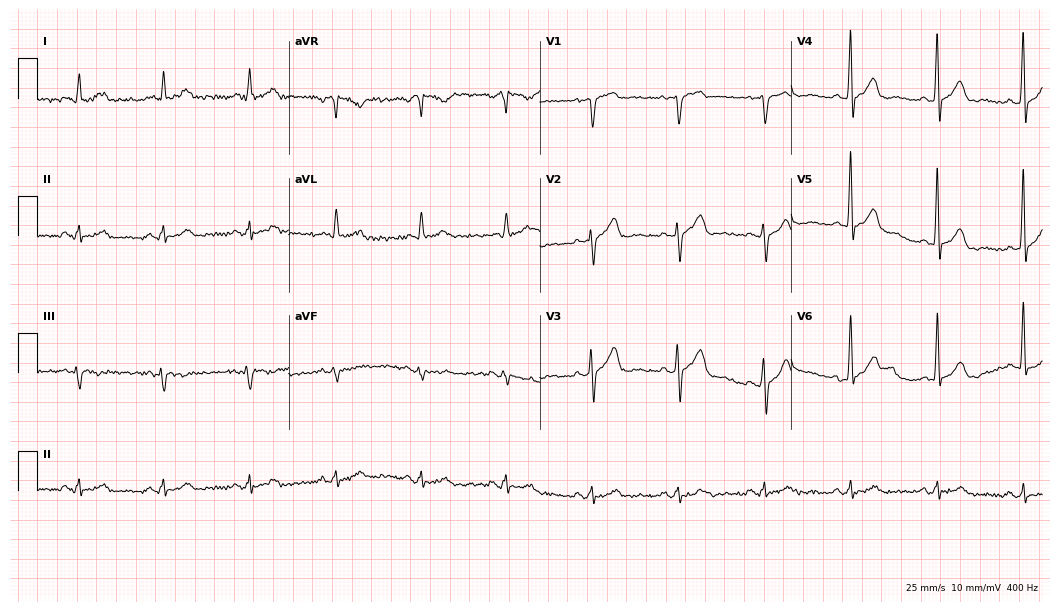
Resting 12-lead electrocardiogram (10.2-second recording at 400 Hz). Patient: a 71-year-old man. None of these six findings is recorded: first-degree AV block, right bundle branch block, left bundle branch block, sinus bradycardia, atrial fibrillation, sinus tachycardia. Only these six findings were labelled.